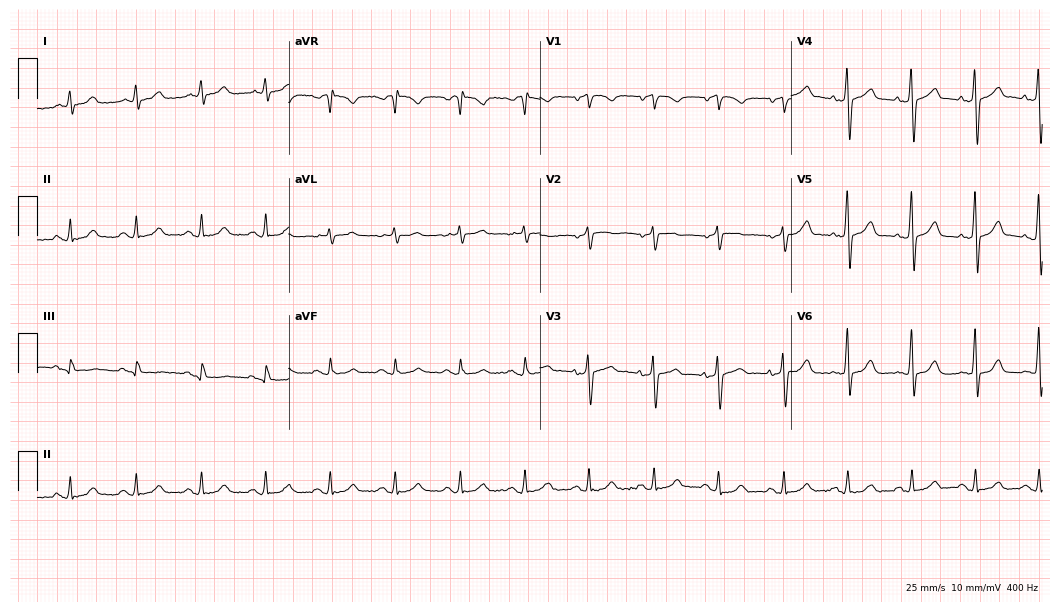
Electrocardiogram, a male, 64 years old. Of the six screened findings (first-degree AV block, right bundle branch block (RBBB), left bundle branch block (LBBB), sinus bradycardia, atrial fibrillation (AF), sinus tachycardia), none is recorded.